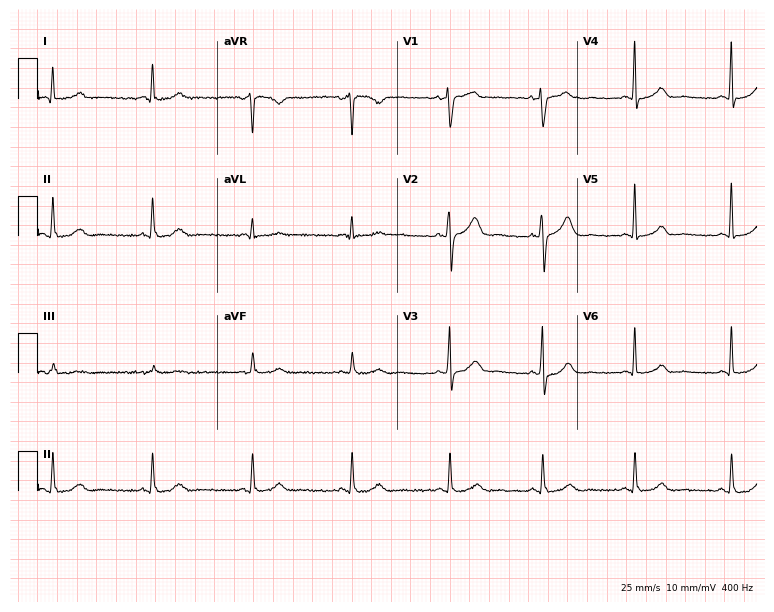
Standard 12-lead ECG recorded from a female, 40 years old. Read as a normal ECG.